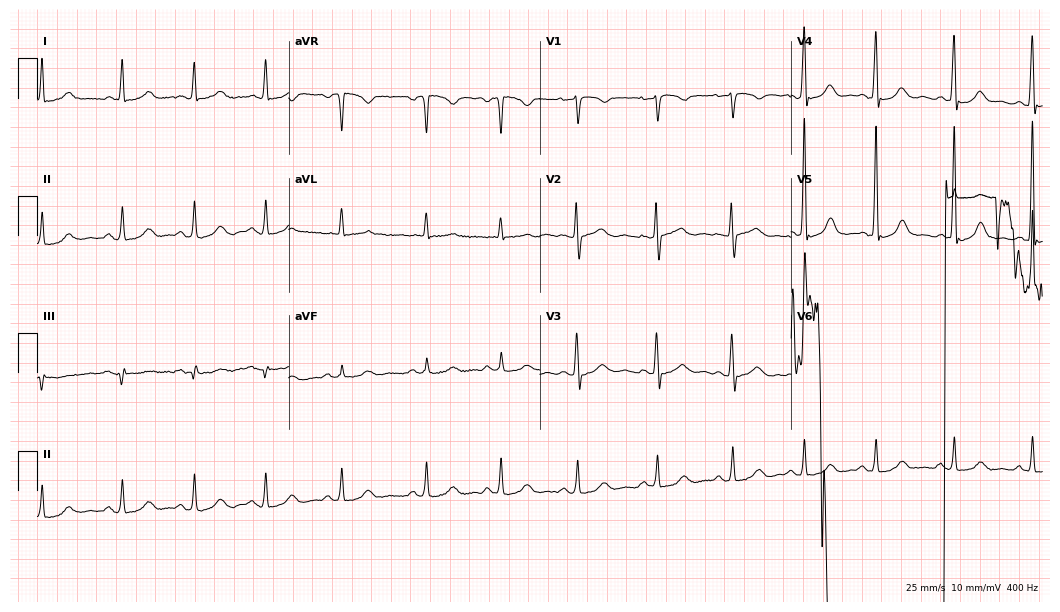
Resting 12-lead electrocardiogram (10.2-second recording at 400 Hz). Patient: a 56-year-old woman. None of these six findings is recorded: first-degree AV block, right bundle branch block, left bundle branch block, sinus bradycardia, atrial fibrillation, sinus tachycardia.